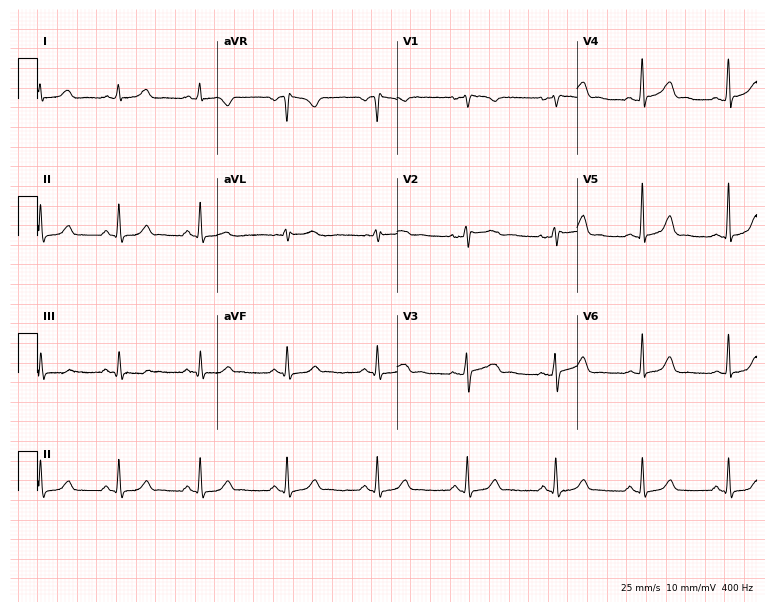
Resting 12-lead electrocardiogram. Patient: a 31-year-old woman. Read as a normal ECG.